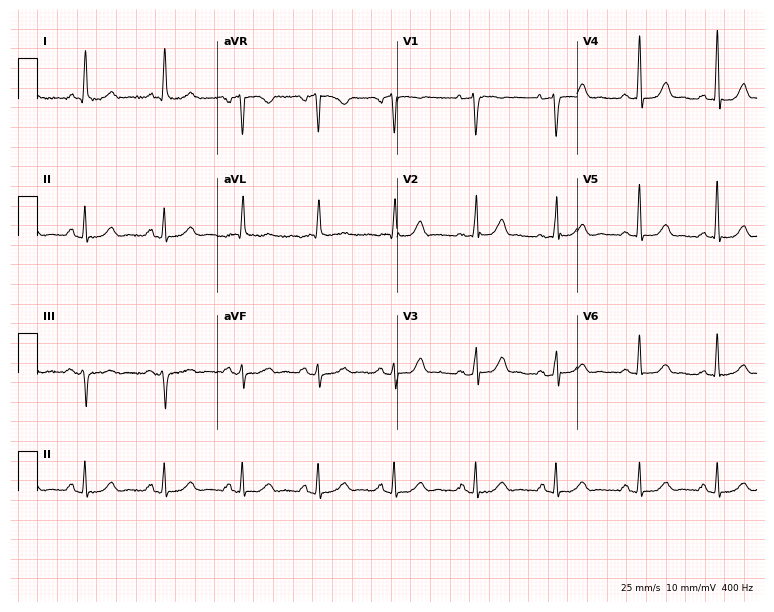
12-lead ECG from a 73-year-old female patient (7.3-second recording at 400 Hz). Recorded interpretation: within normal limits.